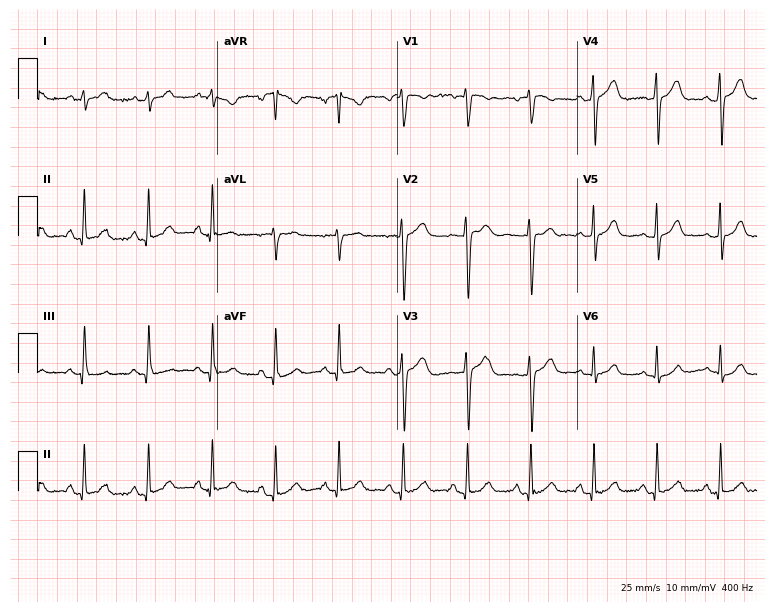
Electrocardiogram, a female patient, 38 years old. Of the six screened findings (first-degree AV block, right bundle branch block (RBBB), left bundle branch block (LBBB), sinus bradycardia, atrial fibrillation (AF), sinus tachycardia), none is recorded. Only these six findings were labelled.